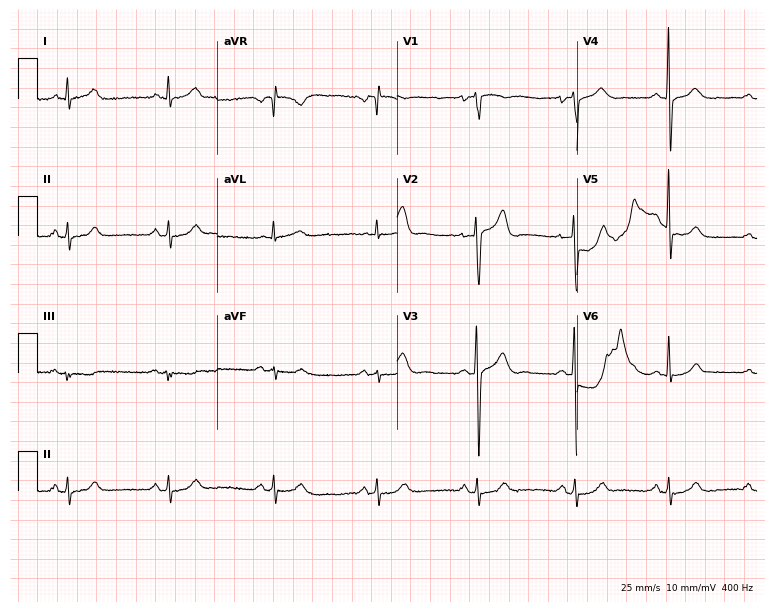
12-lead ECG from a man, 45 years old. No first-degree AV block, right bundle branch block, left bundle branch block, sinus bradycardia, atrial fibrillation or sinus tachycardia recorded for this tracing.